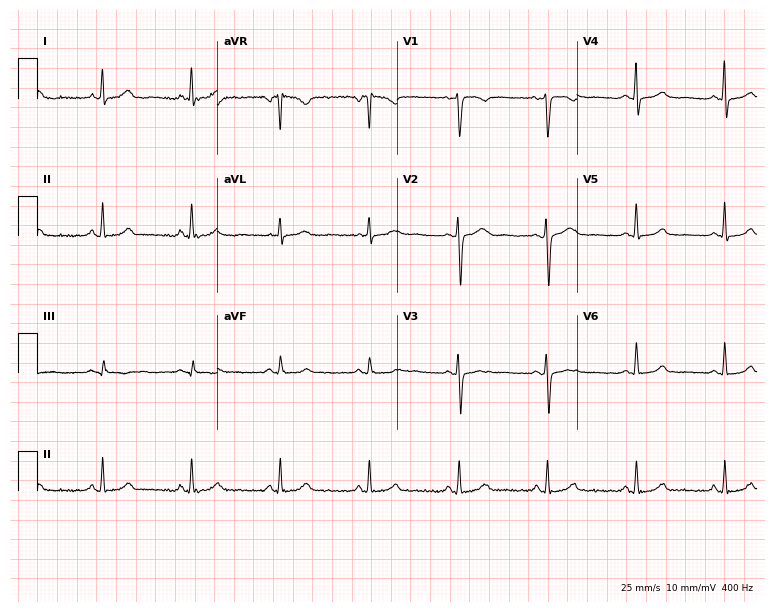
12-lead ECG from a female, 41 years old. Labelled as a normal ECG.